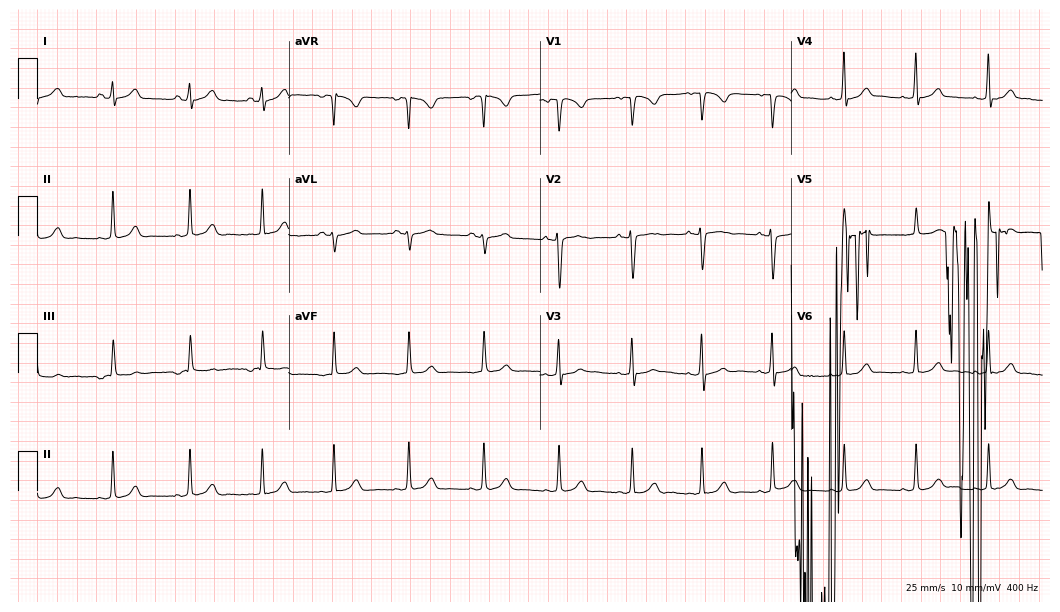
ECG (10.2-second recording at 400 Hz) — a 25-year-old female. Screened for six findings — first-degree AV block, right bundle branch block, left bundle branch block, sinus bradycardia, atrial fibrillation, sinus tachycardia — none is recorded.